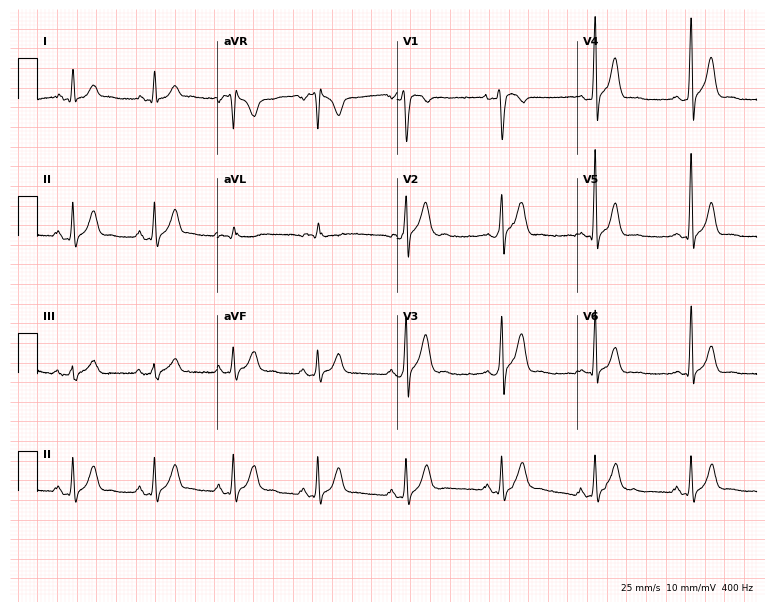
12-lead ECG from a 33-year-old male. Recorded interpretation: within normal limits.